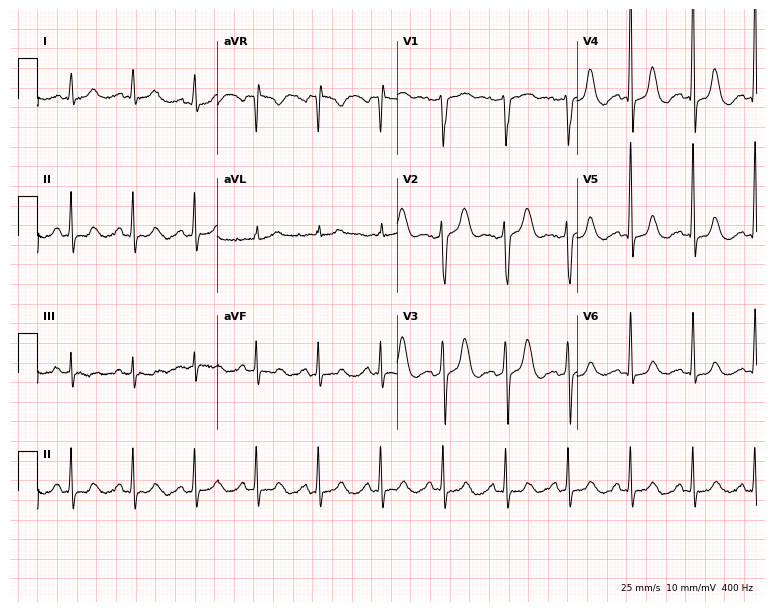
12-lead ECG from a female patient, 75 years old (7.3-second recording at 400 Hz). No first-degree AV block, right bundle branch block (RBBB), left bundle branch block (LBBB), sinus bradycardia, atrial fibrillation (AF) or sinus tachycardia recorded for this tracing. Other findings, if any, are not listed.